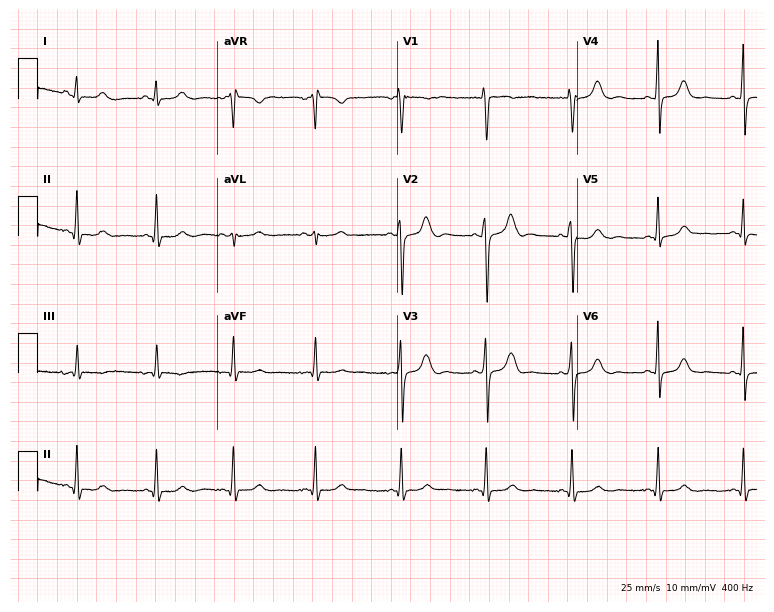
12-lead ECG from a female patient, 19 years old. Recorded interpretation: within normal limits.